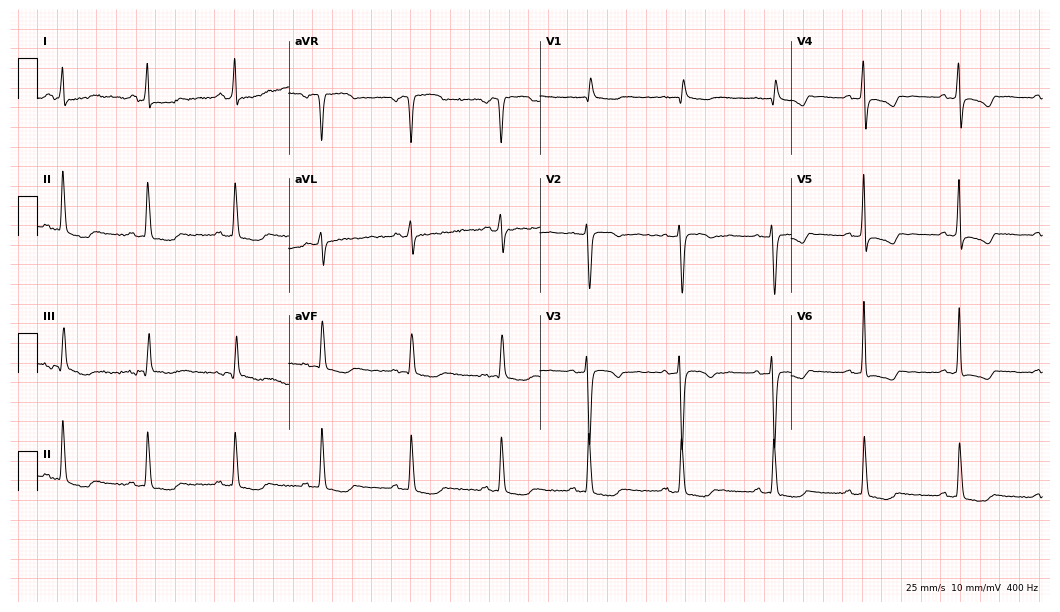
12-lead ECG (10.2-second recording at 400 Hz) from a 47-year-old female patient. Screened for six findings — first-degree AV block, right bundle branch block, left bundle branch block, sinus bradycardia, atrial fibrillation, sinus tachycardia — none is recorded.